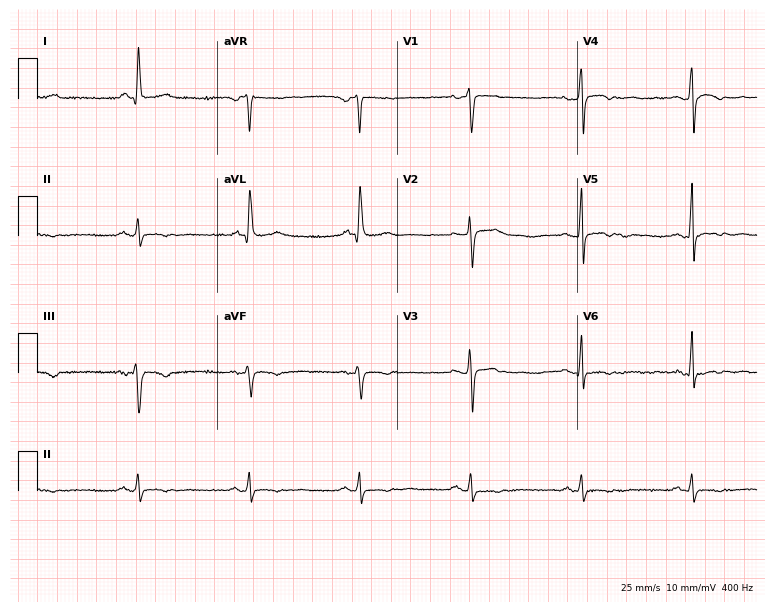
12-lead ECG from a male, 52 years old (7.3-second recording at 400 Hz). No first-degree AV block, right bundle branch block (RBBB), left bundle branch block (LBBB), sinus bradycardia, atrial fibrillation (AF) or sinus tachycardia recorded for this tracing.